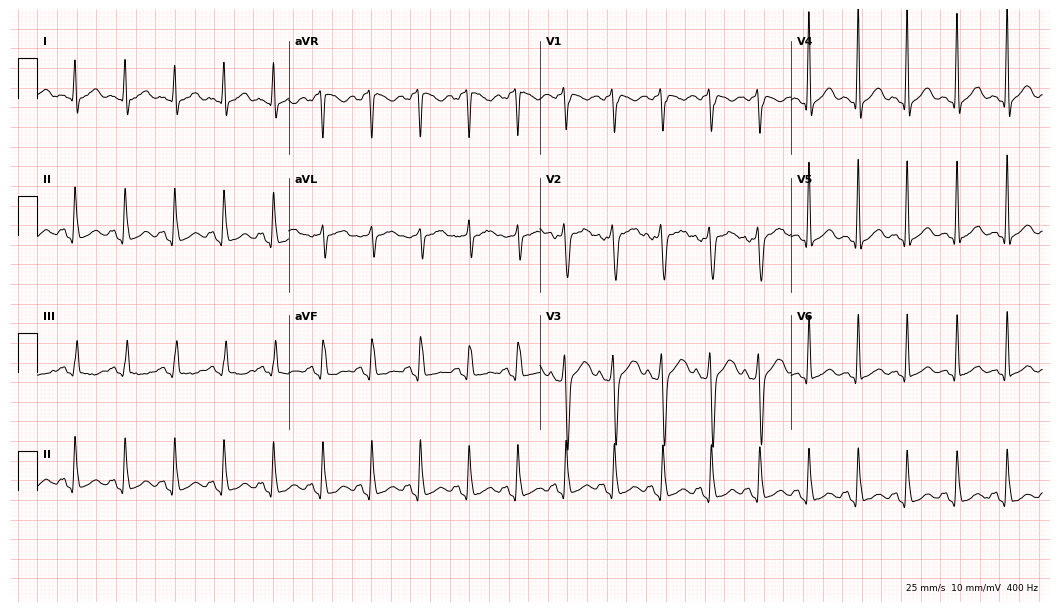
12-lead ECG (10.2-second recording at 400 Hz) from a male, 37 years old. Findings include sinus tachycardia (a sinus rate of 100 beats per minute or more).